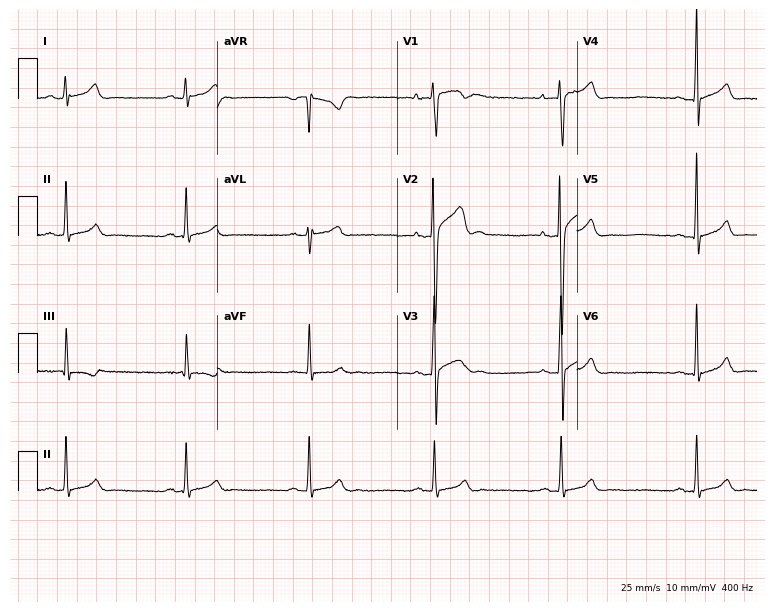
ECG — a man, 26 years old. Findings include sinus bradycardia (a sinus rate of 50 beats per minute or less).